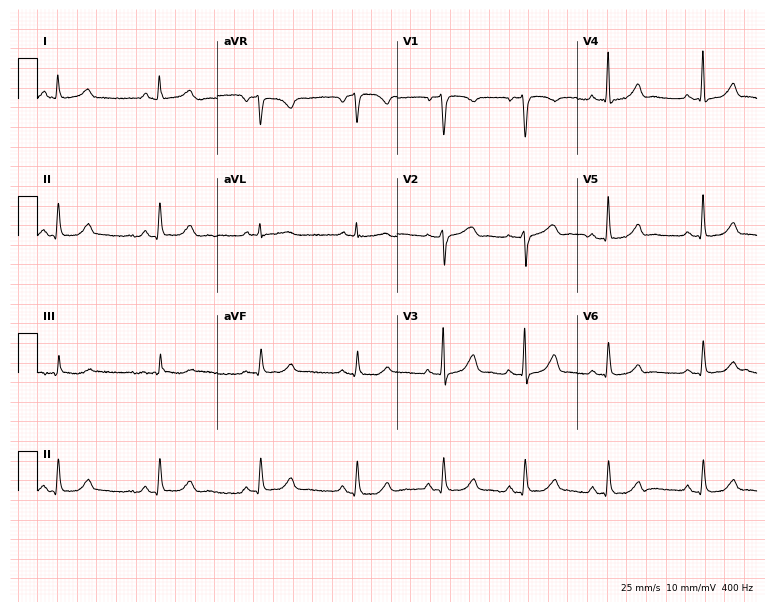
ECG (7.3-second recording at 400 Hz) — a female patient, 64 years old. Screened for six findings — first-degree AV block, right bundle branch block, left bundle branch block, sinus bradycardia, atrial fibrillation, sinus tachycardia — none is recorded. Findings outside these six are not listed.